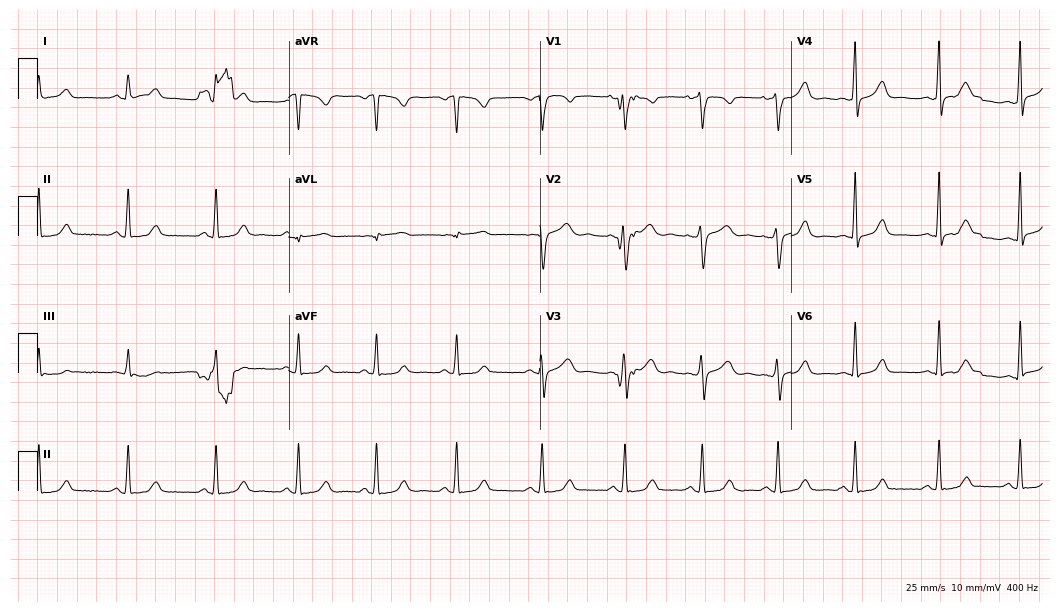
Electrocardiogram, a female, 30 years old. Overall reading on record: normal ECG.